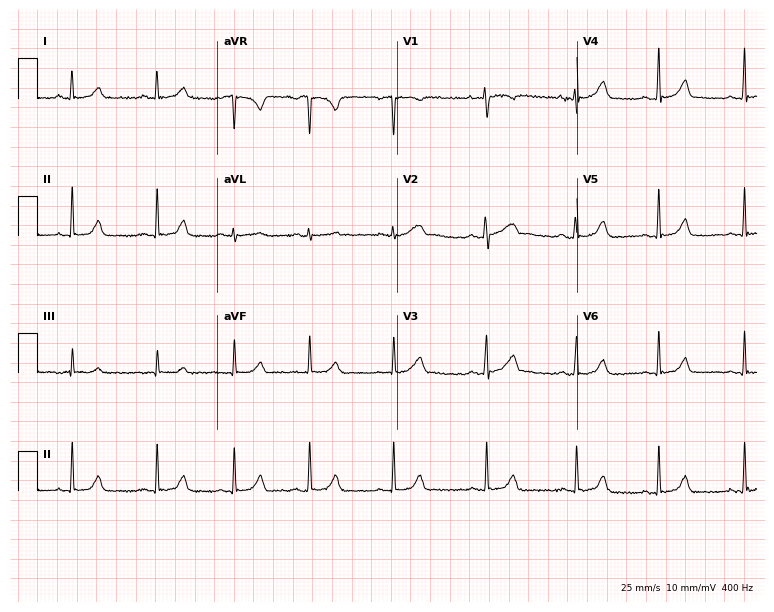
Resting 12-lead electrocardiogram. Patient: a female, 18 years old. None of these six findings is recorded: first-degree AV block, right bundle branch block (RBBB), left bundle branch block (LBBB), sinus bradycardia, atrial fibrillation (AF), sinus tachycardia. Other findings, if any, are not listed.